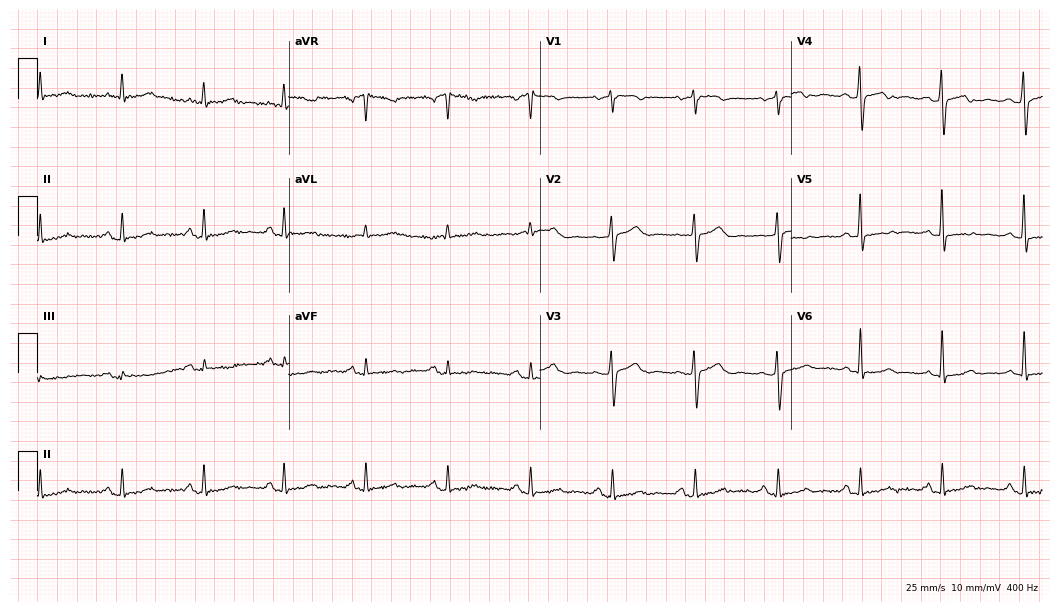
ECG — a female patient, 66 years old. Screened for six findings — first-degree AV block, right bundle branch block (RBBB), left bundle branch block (LBBB), sinus bradycardia, atrial fibrillation (AF), sinus tachycardia — none is recorded. Other findings, if any, are not listed.